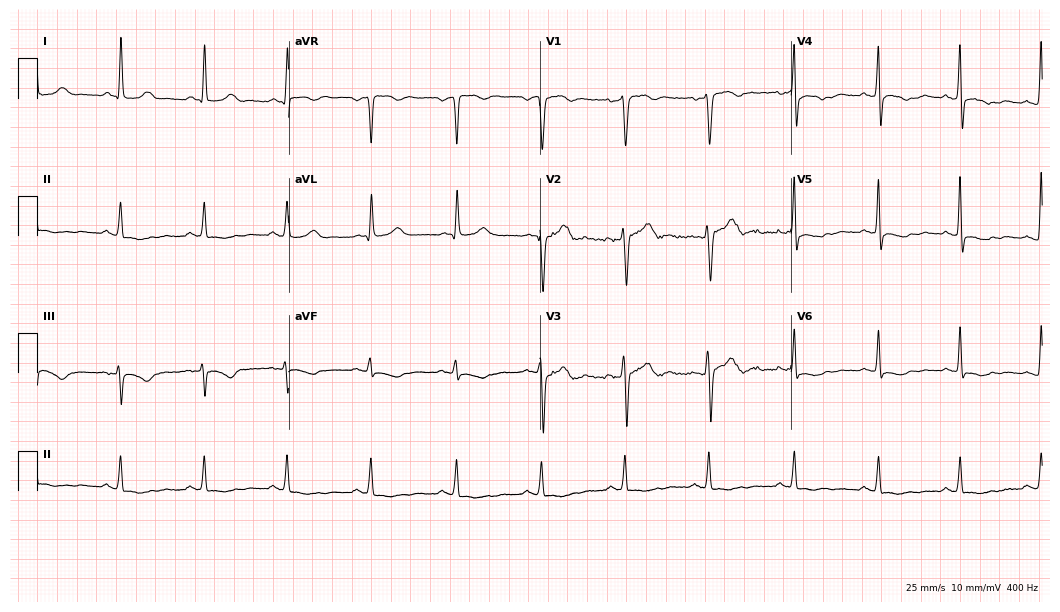
12-lead ECG (10.2-second recording at 400 Hz) from a male, 58 years old. Screened for six findings — first-degree AV block, right bundle branch block, left bundle branch block, sinus bradycardia, atrial fibrillation, sinus tachycardia — none is recorded. Only these six findings were labelled.